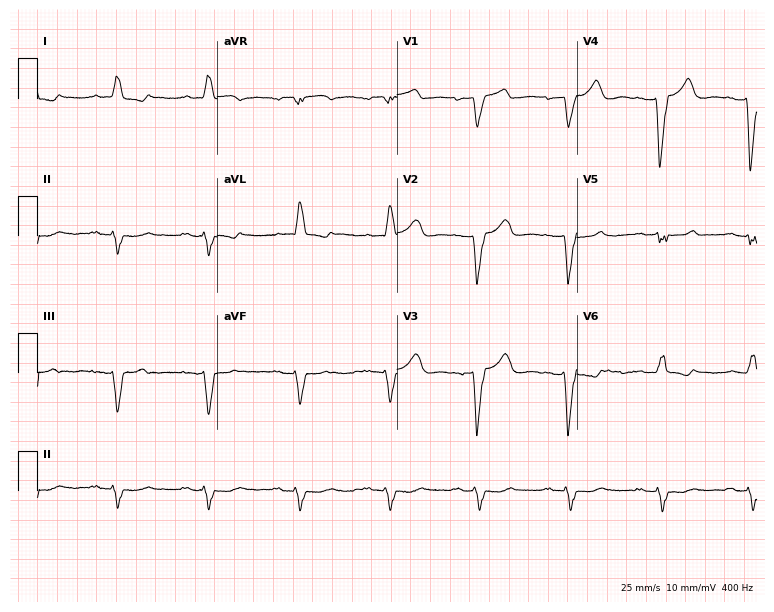
12-lead ECG from a 61-year-old female. Shows first-degree AV block, left bundle branch block (LBBB).